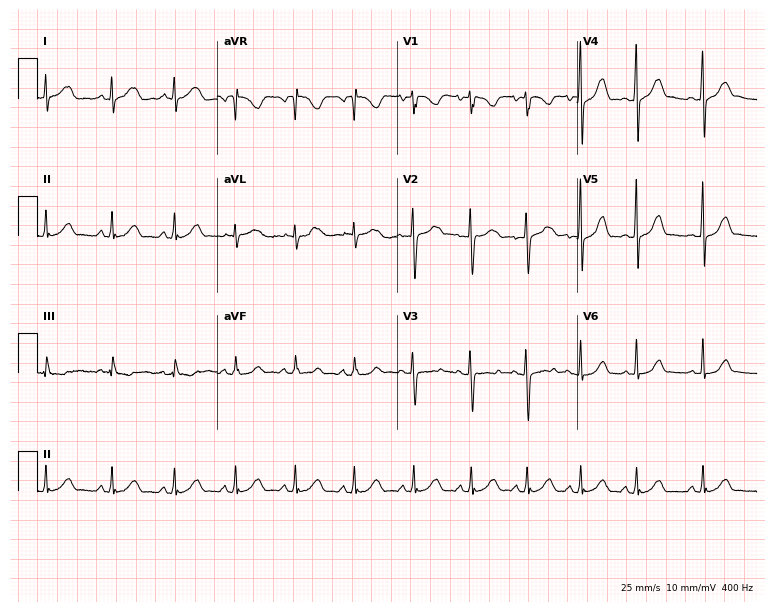
Resting 12-lead electrocardiogram. Patient: a female, 23 years old. None of these six findings is recorded: first-degree AV block, right bundle branch block, left bundle branch block, sinus bradycardia, atrial fibrillation, sinus tachycardia.